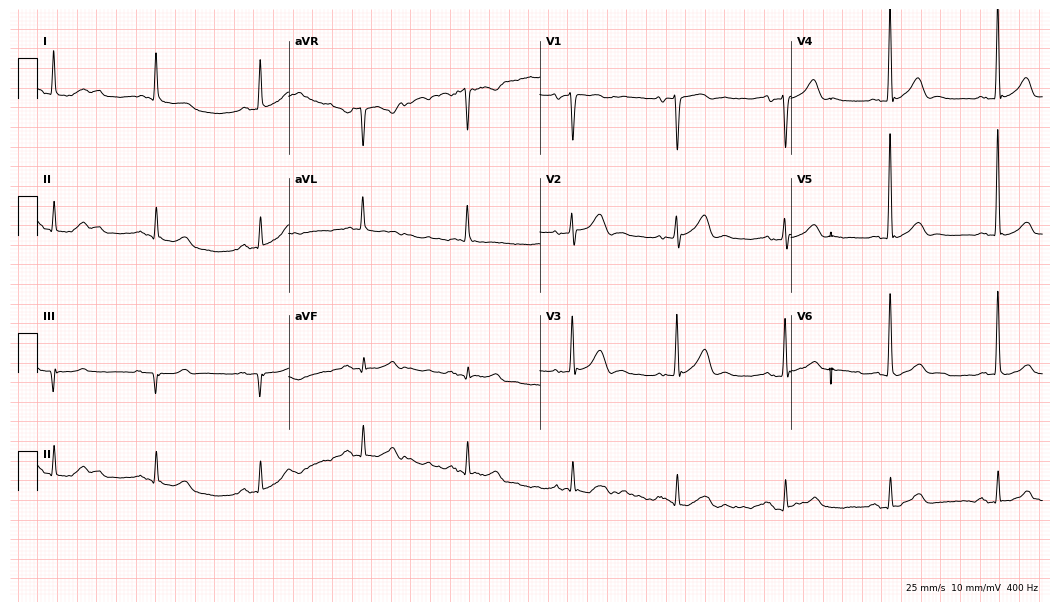
12-lead ECG from a male patient, 72 years old. Labelled as a normal ECG.